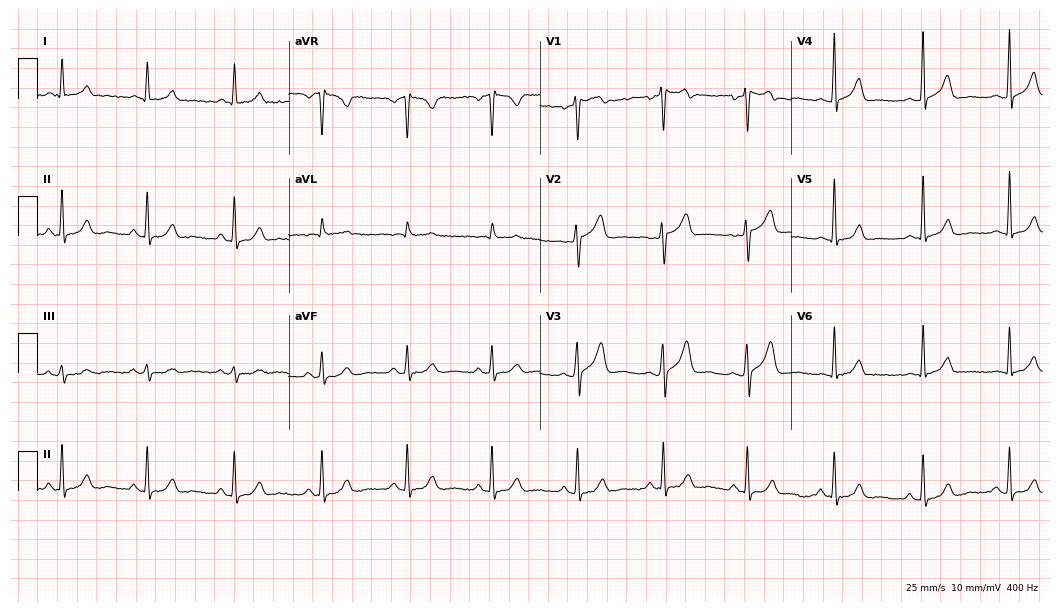
Resting 12-lead electrocardiogram. Patient: a 58-year-old man. Read as a normal ECG.